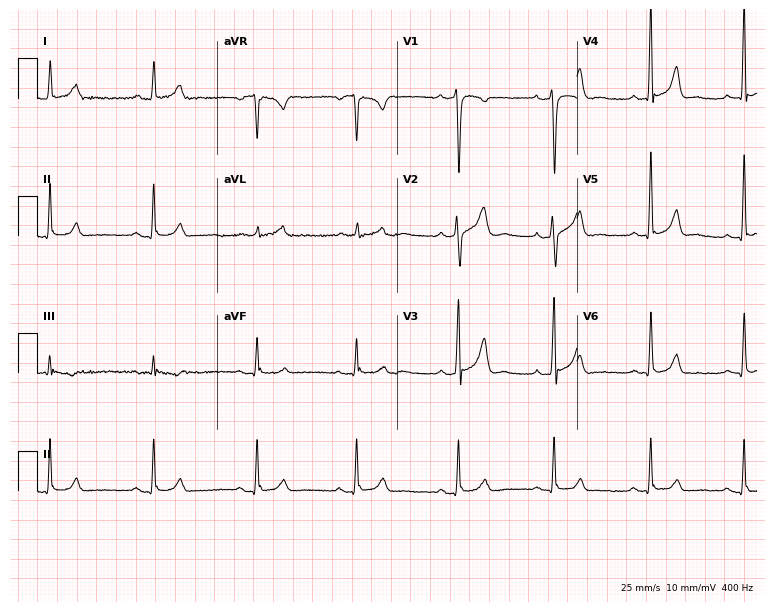
12-lead ECG from a male, 31 years old (7.3-second recording at 400 Hz). No first-degree AV block, right bundle branch block (RBBB), left bundle branch block (LBBB), sinus bradycardia, atrial fibrillation (AF) or sinus tachycardia recorded for this tracing. Findings outside these six are not listed.